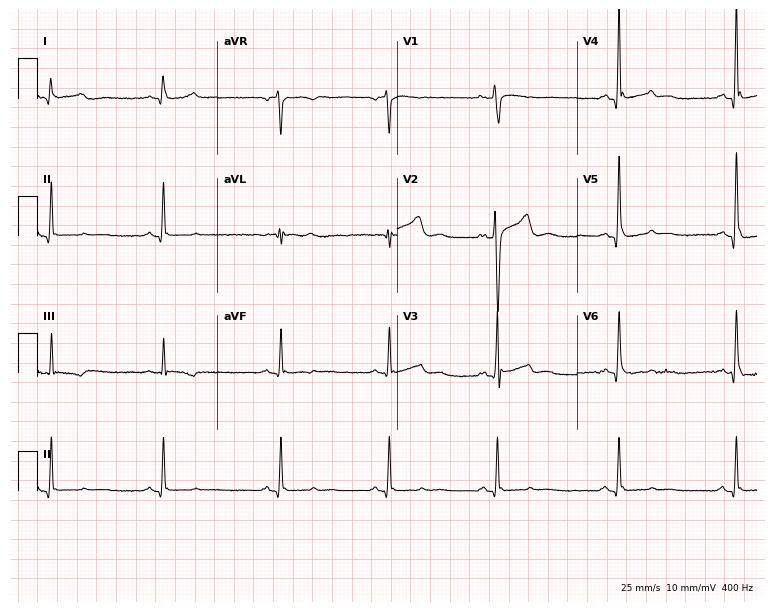
12-lead ECG from a woman, 37 years old (7.3-second recording at 400 Hz). No first-degree AV block, right bundle branch block, left bundle branch block, sinus bradycardia, atrial fibrillation or sinus tachycardia recorded for this tracing.